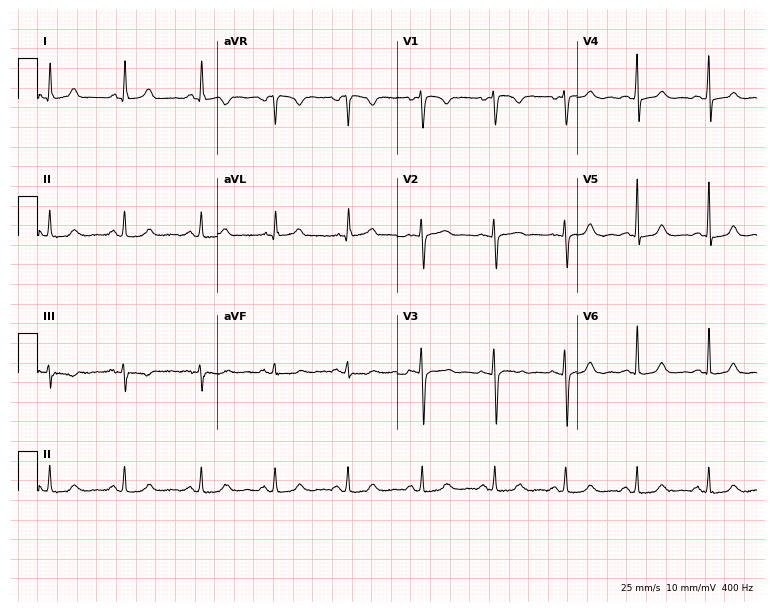
12-lead ECG from a 39-year-old woman. Recorded interpretation: within normal limits.